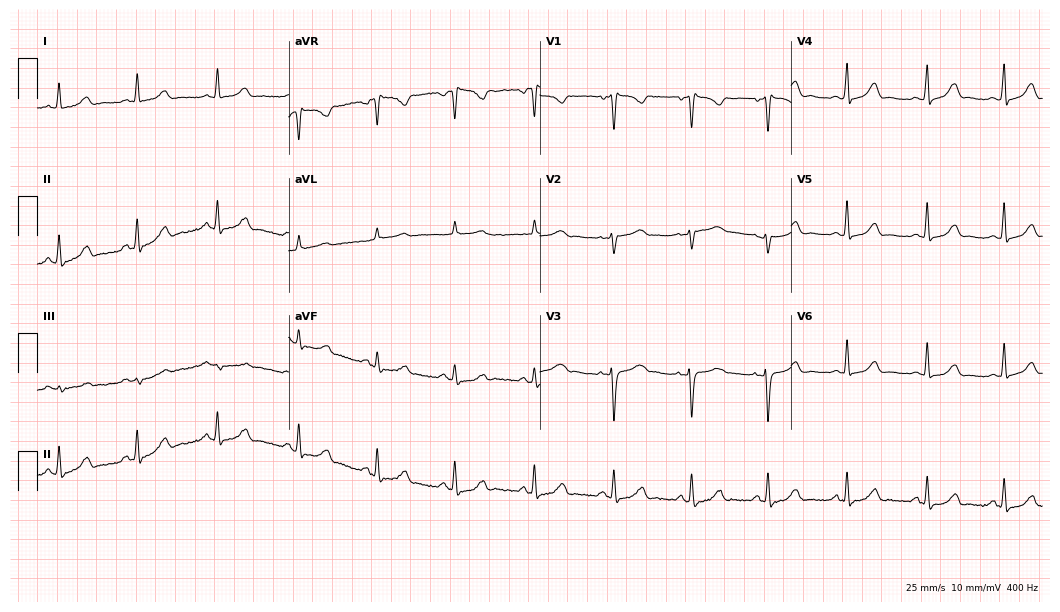
Resting 12-lead electrocardiogram. Patient: a female, 30 years old. Read as a normal ECG.